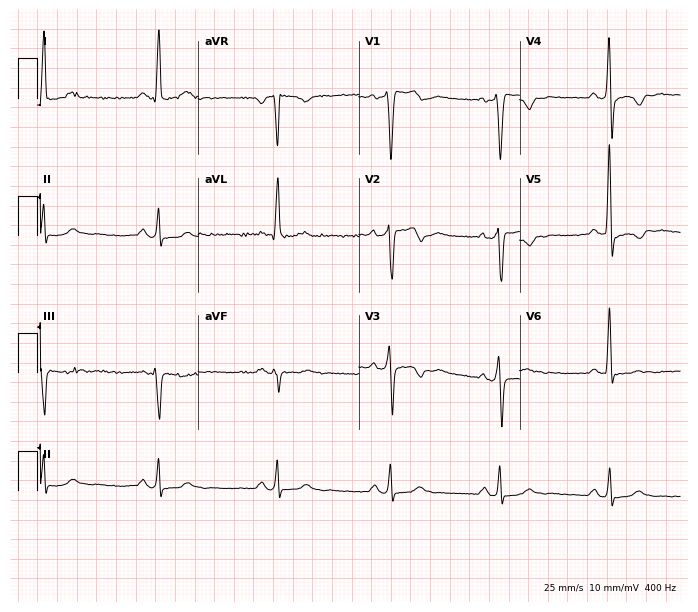
Standard 12-lead ECG recorded from a 51-year-old male. None of these six findings is recorded: first-degree AV block, right bundle branch block, left bundle branch block, sinus bradycardia, atrial fibrillation, sinus tachycardia.